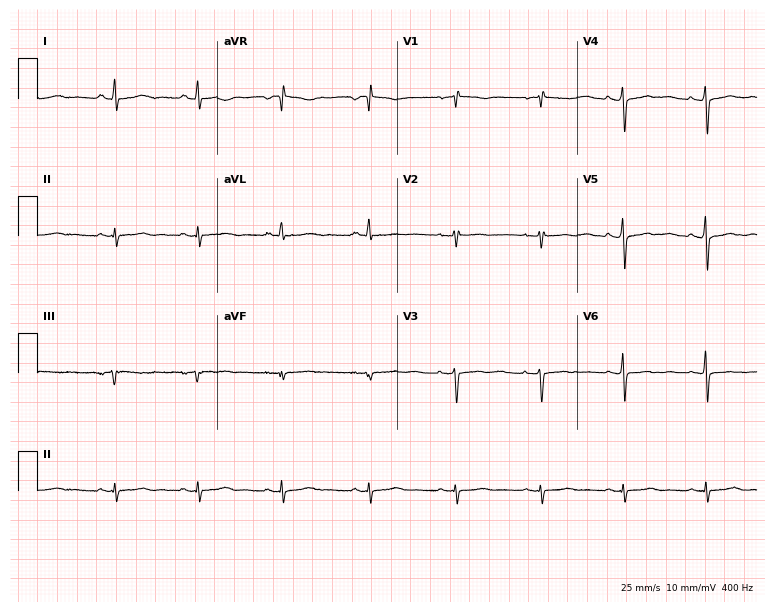
ECG (7.3-second recording at 400 Hz) — a 50-year-old female patient. Screened for six findings — first-degree AV block, right bundle branch block (RBBB), left bundle branch block (LBBB), sinus bradycardia, atrial fibrillation (AF), sinus tachycardia — none is recorded.